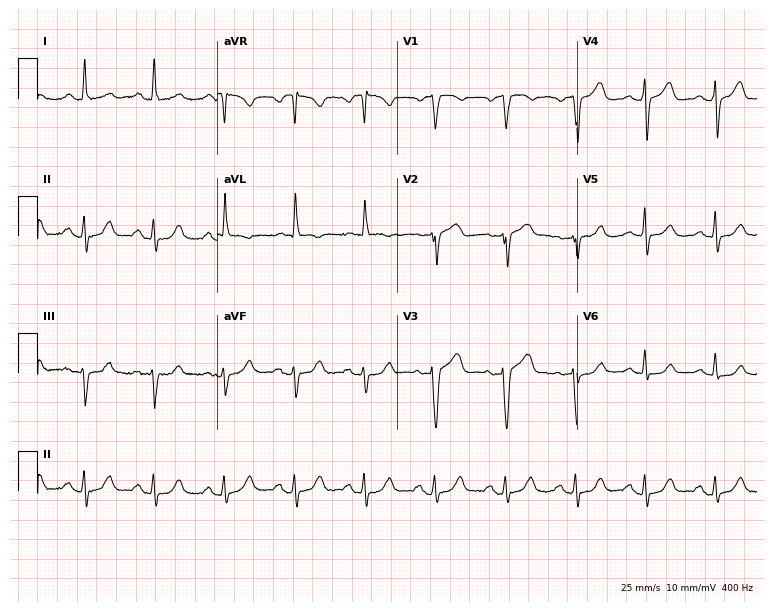
Electrocardiogram (7.3-second recording at 400 Hz), a female patient, 70 years old. Of the six screened findings (first-degree AV block, right bundle branch block (RBBB), left bundle branch block (LBBB), sinus bradycardia, atrial fibrillation (AF), sinus tachycardia), none is recorded.